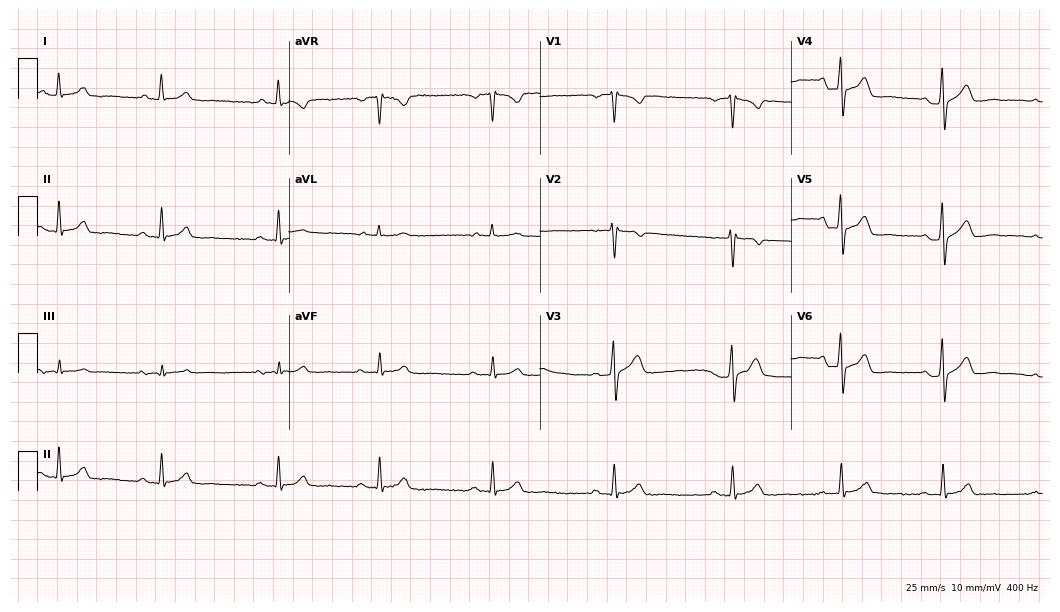
Resting 12-lead electrocardiogram (10.2-second recording at 400 Hz). Patient: a male, 27 years old. Read as a normal ECG.